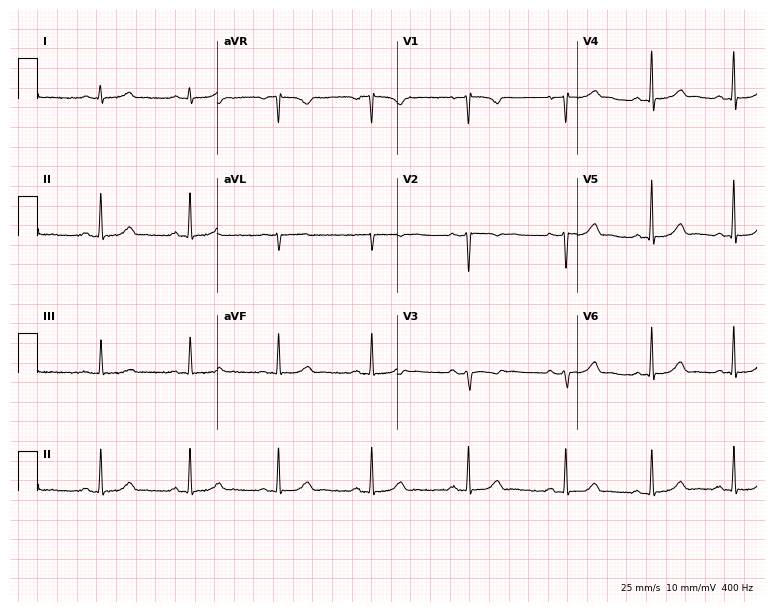
Resting 12-lead electrocardiogram. Patient: a 31-year-old female. None of these six findings is recorded: first-degree AV block, right bundle branch block, left bundle branch block, sinus bradycardia, atrial fibrillation, sinus tachycardia.